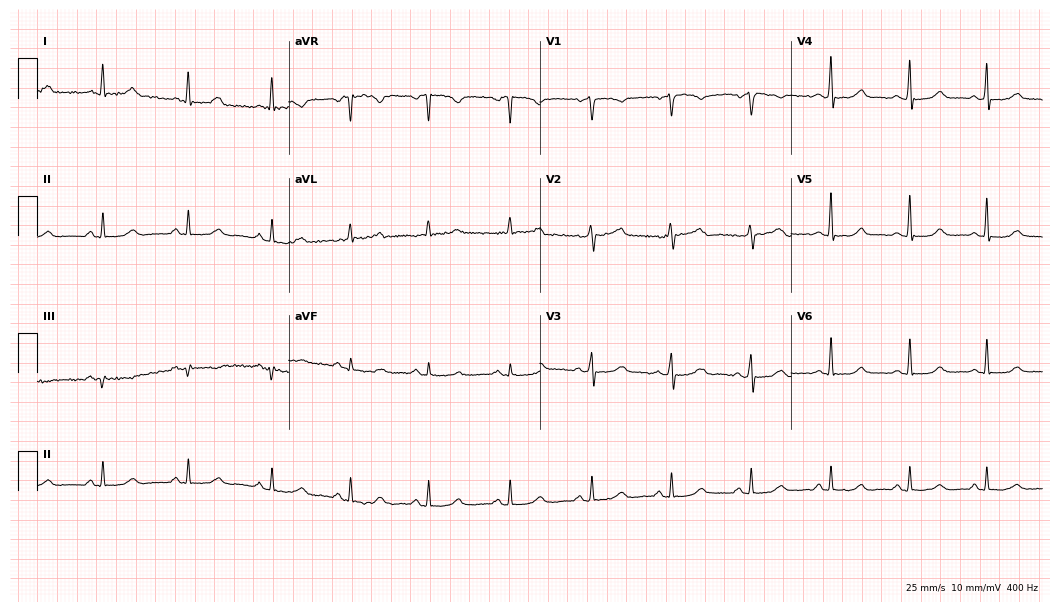
Electrocardiogram (10.2-second recording at 400 Hz), a female, 55 years old. Overall reading on record: normal ECG.